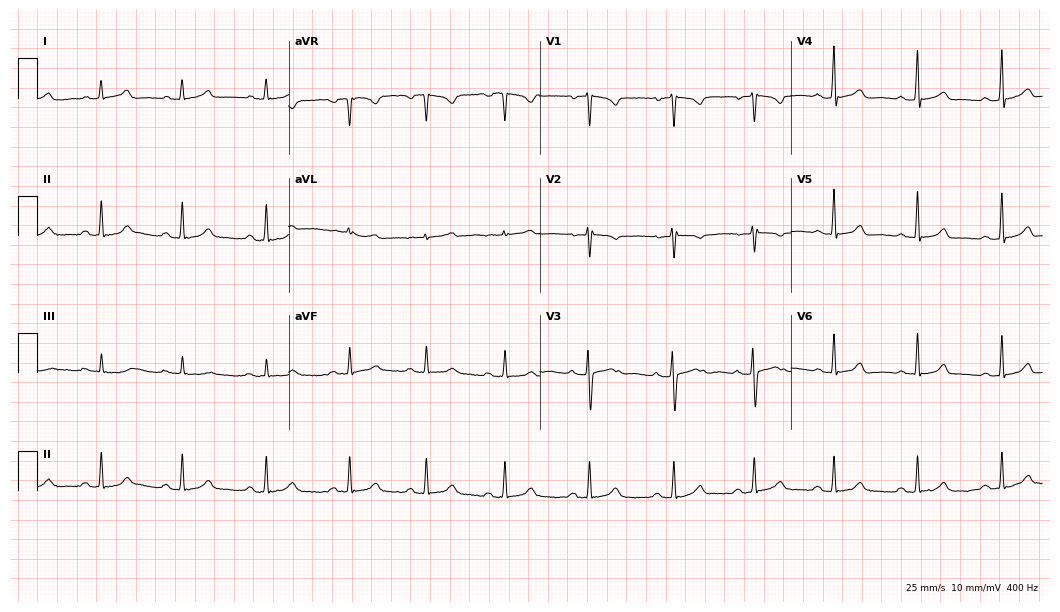
Standard 12-lead ECG recorded from a female, 20 years old. Read as a normal ECG.